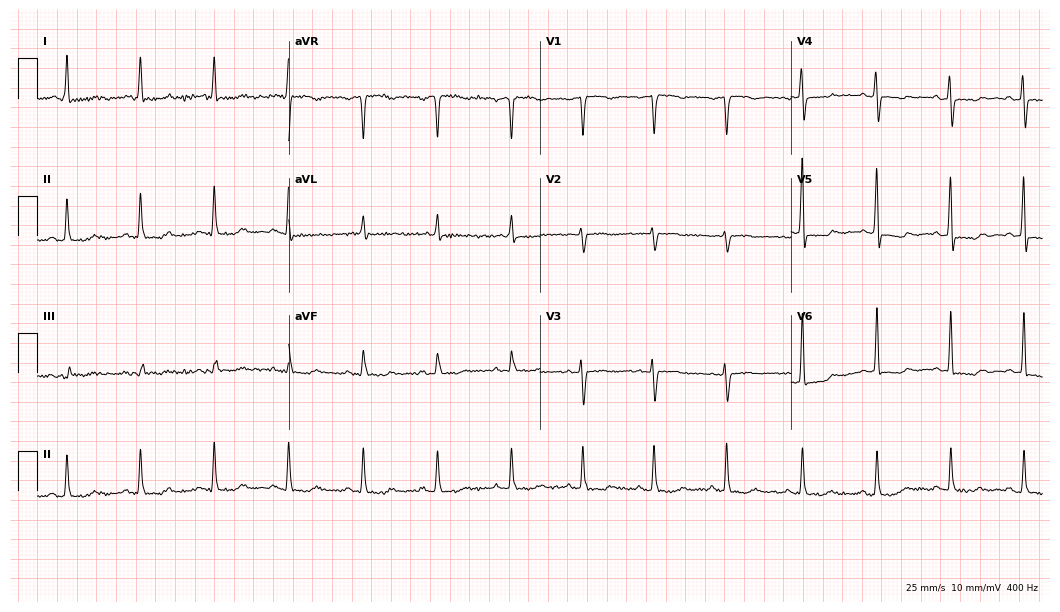
12-lead ECG (10.2-second recording at 400 Hz) from a female, 74 years old. Screened for six findings — first-degree AV block, right bundle branch block (RBBB), left bundle branch block (LBBB), sinus bradycardia, atrial fibrillation (AF), sinus tachycardia — none is recorded. Only these six findings were labelled.